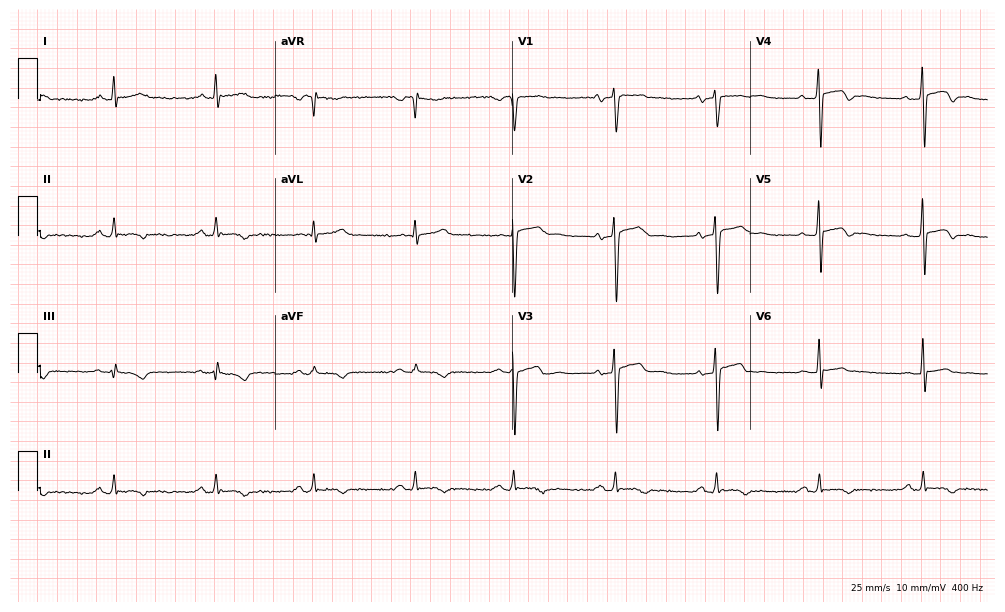
Electrocardiogram, a male patient, 37 years old. Of the six screened findings (first-degree AV block, right bundle branch block (RBBB), left bundle branch block (LBBB), sinus bradycardia, atrial fibrillation (AF), sinus tachycardia), none is recorded.